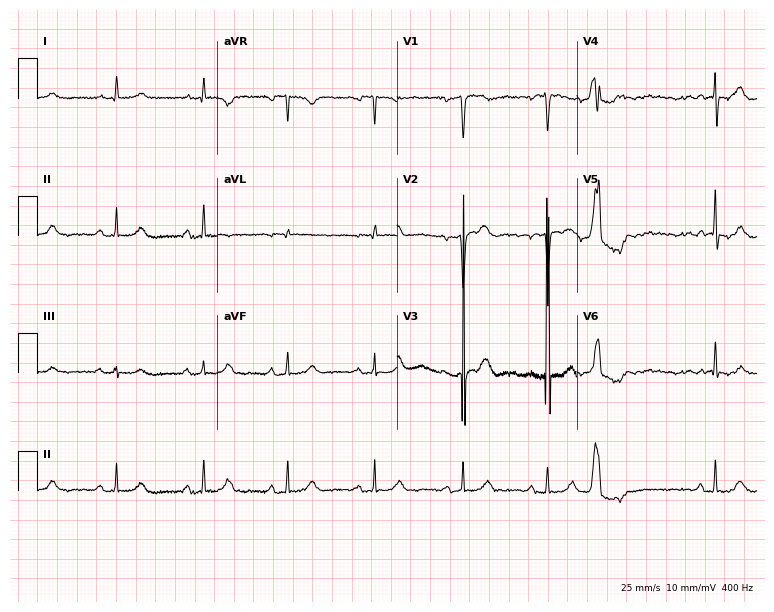
Electrocardiogram, a woman, 69 years old. Of the six screened findings (first-degree AV block, right bundle branch block, left bundle branch block, sinus bradycardia, atrial fibrillation, sinus tachycardia), none is recorded.